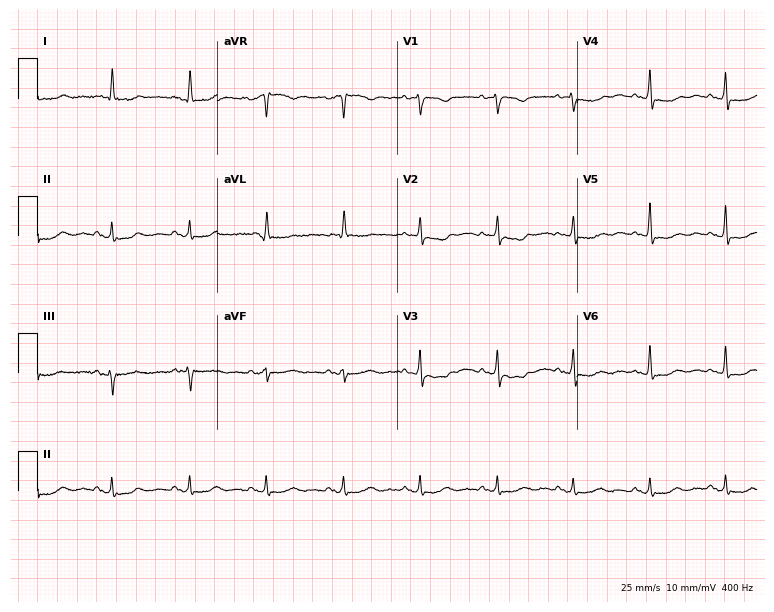
Standard 12-lead ECG recorded from a female patient, 80 years old (7.3-second recording at 400 Hz). Read as a normal ECG.